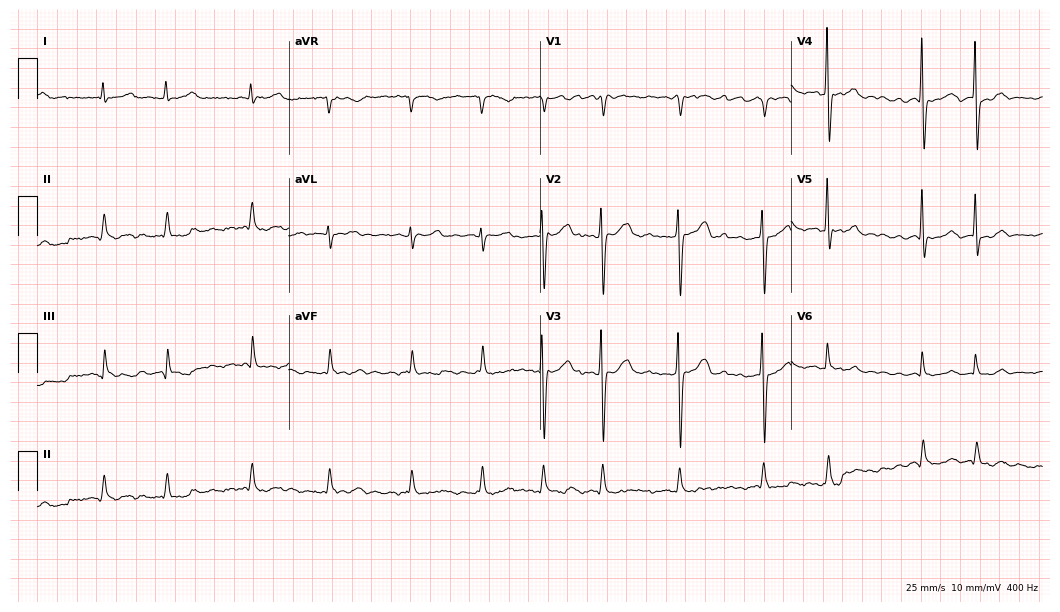
12-lead ECG (10.2-second recording at 400 Hz) from an 82-year-old female. Findings include atrial fibrillation.